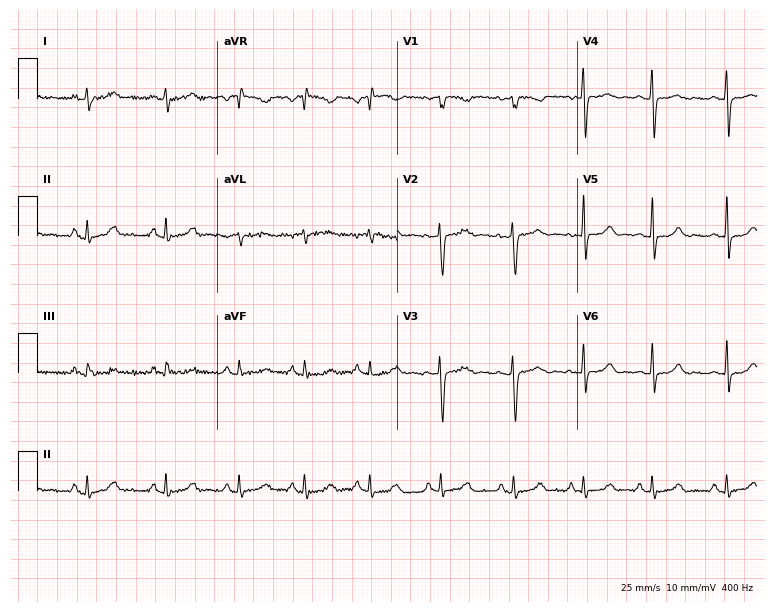
Electrocardiogram (7.3-second recording at 400 Hz), a 24-year-old female. Of the six screened findings (first-degree AV block, right bundle branch block, left bundle branch block, sinus bradycardia, atrial fibrillation, sinus tachycardia), none is recorded.